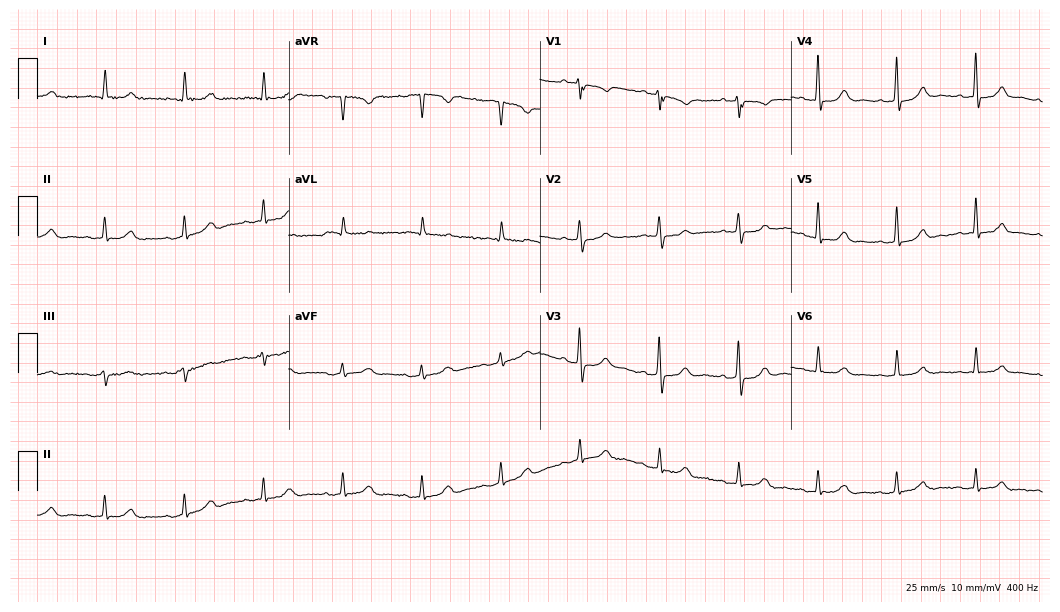
12-lead ECG from a woman, 84 years old. Recorded interpretation: within normal limits.